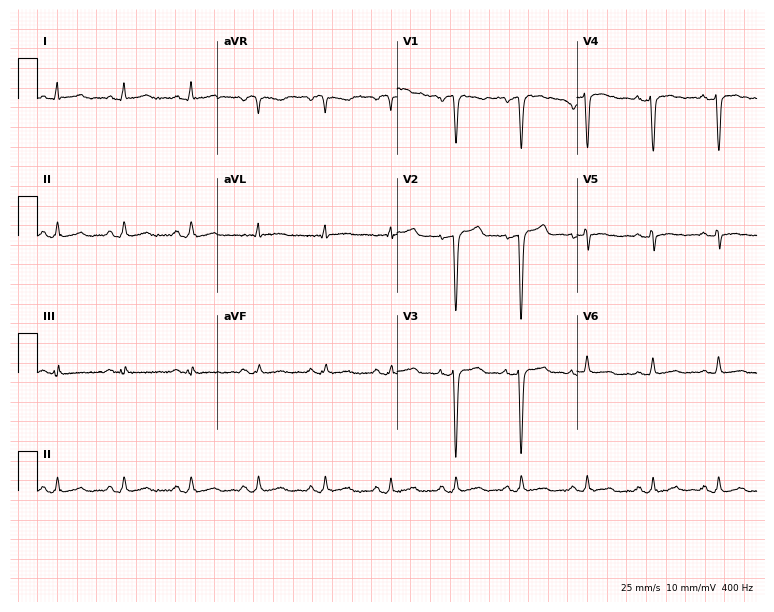
Standard 12-lead ECG recorded from a male patient, 36 years old. None of these six findings is recorded: first-degree AV block, right bundle branch block (RBBB), left bundle branch block (LBBB), sinus bradycardia, atrial fibrillation (AF), sinus tachycardia.